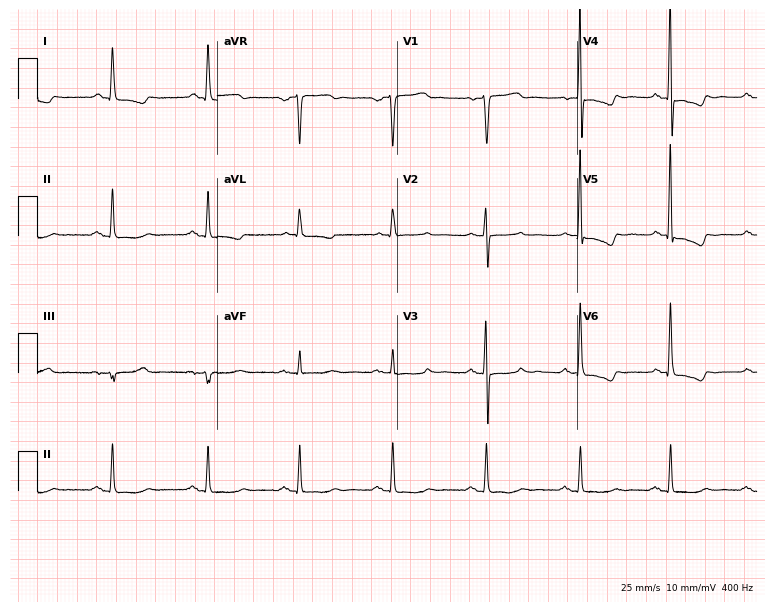
12-lead ECG from a female, 48 years old. Screened for six findings — first-degree AV block, right bundle branch block, left bundle branch block, sinus bradycardia, atrial fibrillation, sinus tachycardia — none is recorded.